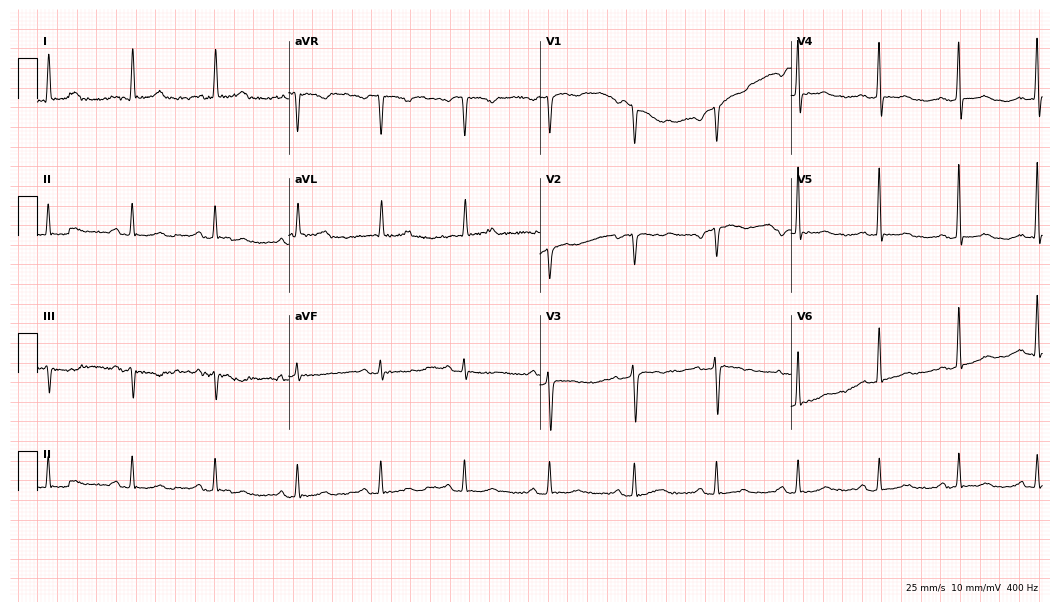
12-lead ECG (10.2-second recording at 400 Hz) from a female, 85 years old. Screened for six findings — first-degree AV block, right bundle branch block, left bundle branch block, sinus bradycardia, atrial fibrillation, sinus tachycardia — none is recorded. Findings outside these six are not listed.